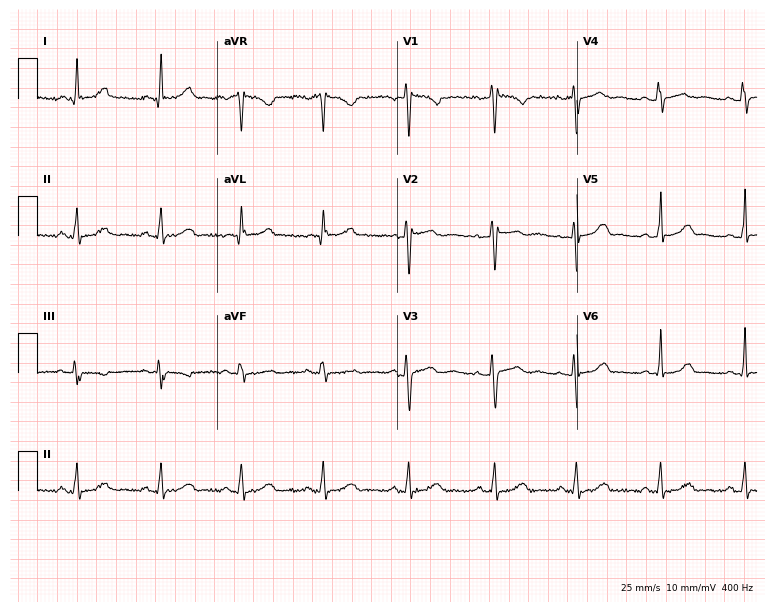
Electrocardiogram (7.3-second recording at 400 Hz), a 41-year-old female patient. Of the six screened findings (first-degree AV block, right bundle branch block (RBBB), left bundle branch block (LBBB), sinus bradycardia, atrial fibrillation (AF), sinus tachycardia), none is recorded. Findings outside these six are not listed.